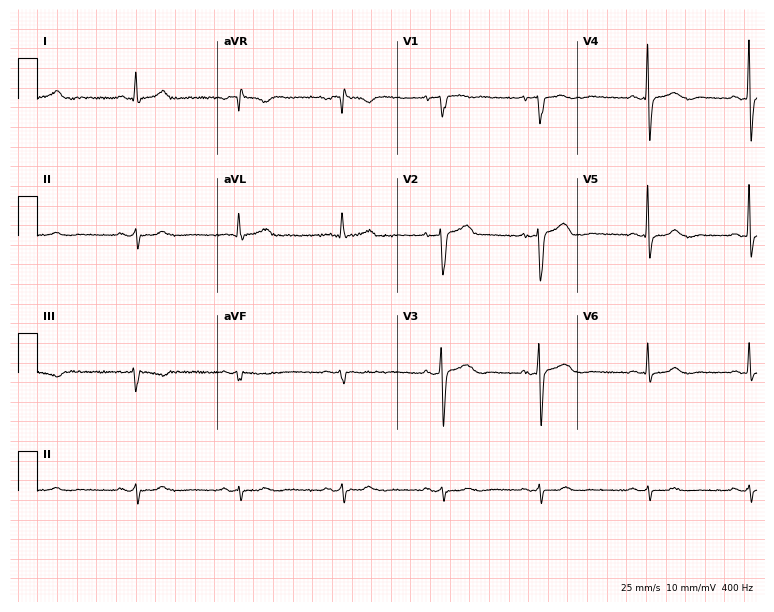
12-lead ECG from a 67-year-old male patient. No first-degree AV block, right bundle branch block, left bundle branch block, sinus bradycardia, atrial fibrillation or sinus tachycardia recorded for this tracing.